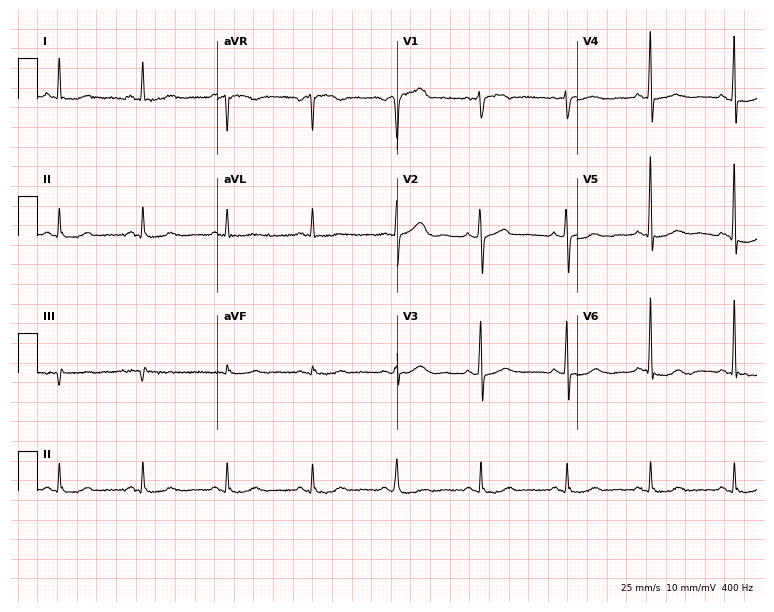
ECG (7.3-second recording at 400 Hz) — a woman, 66 years old. Screened for six findings — first-degree AV block, right bundle branch block (RBBB), left bundle branch block (LBBB), sinus bradycardia, atrial fibrillation (AF), sinus tachycardia — none is recorded. Findings outside these six are not listed.